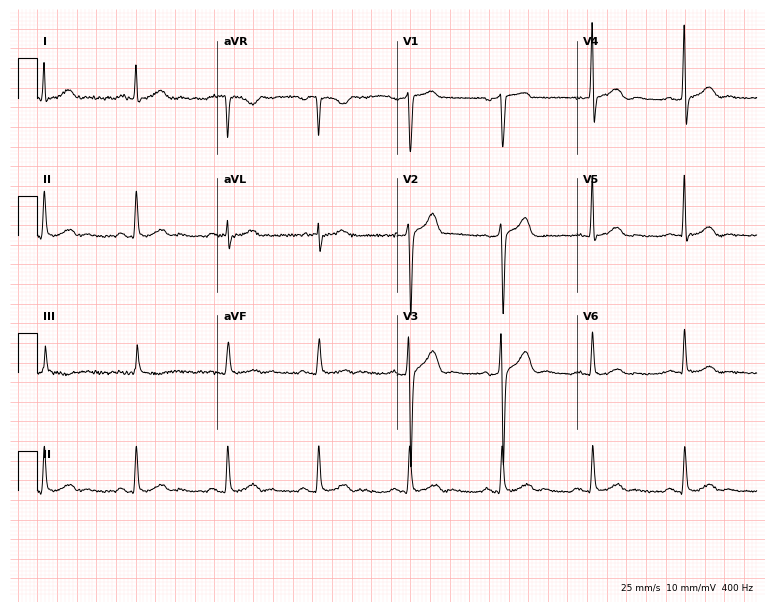
Standard 12-lead ECG recorded from a male, 61 years old. Read as a normal ECG.